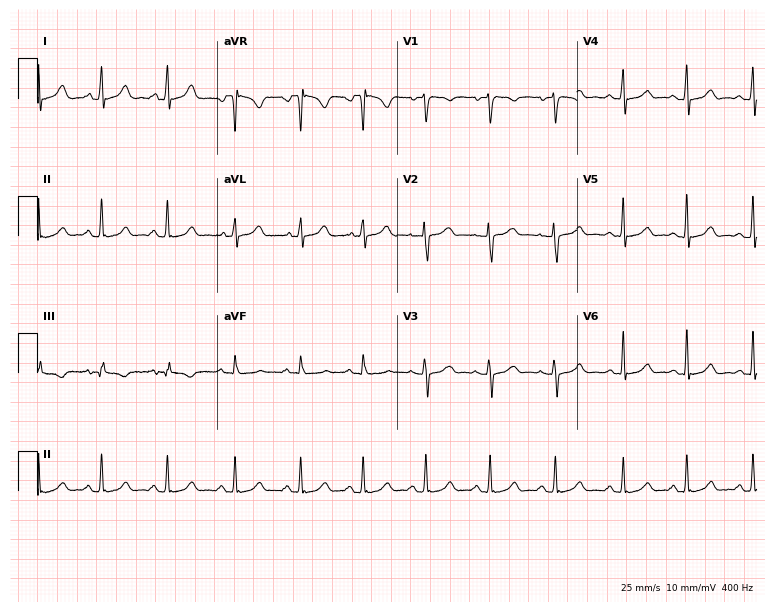
Electrocardiogram, a female, 34 years old. Overall reading on record: normal ECG.